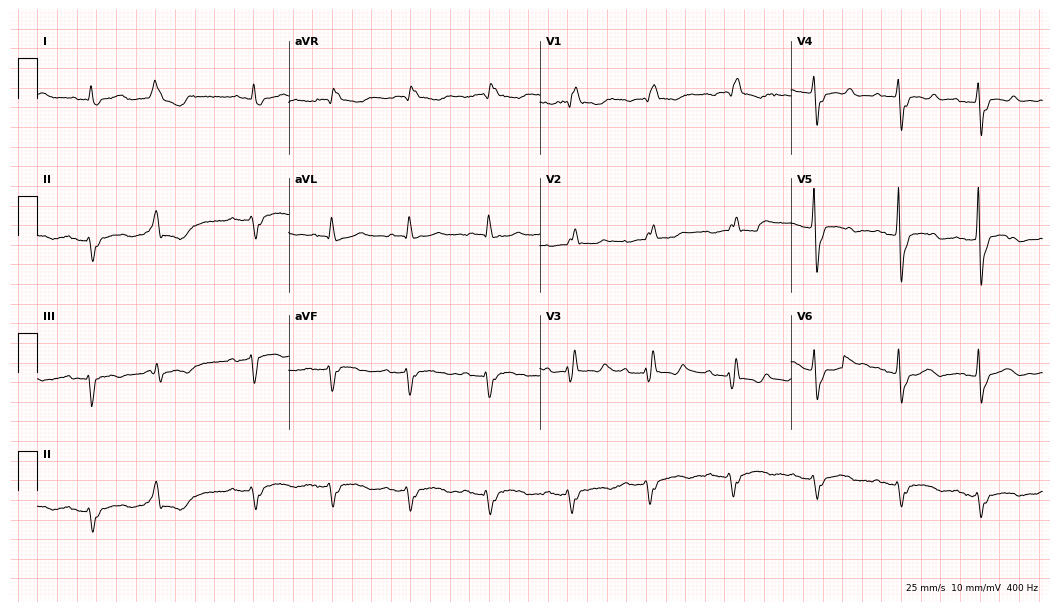
12-lead ECG (10.2-second recording at 400 Hz) from a man, 79 years old. Screened for six findings — first-degree AV block, right bundle branch block, left bundle branch block, sinus bradycardia, atrial fibrillation, sinus tachycardia — none is recorded.